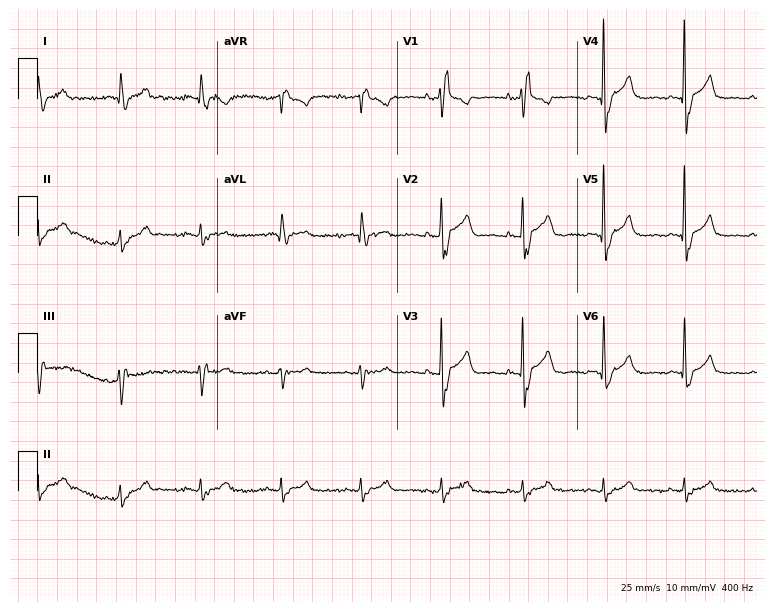
Standard 12-lead ECG recorded from a male patient, 70 years old (7.3-second recording at 400 Hz). The tracing shows right bundle branch block.